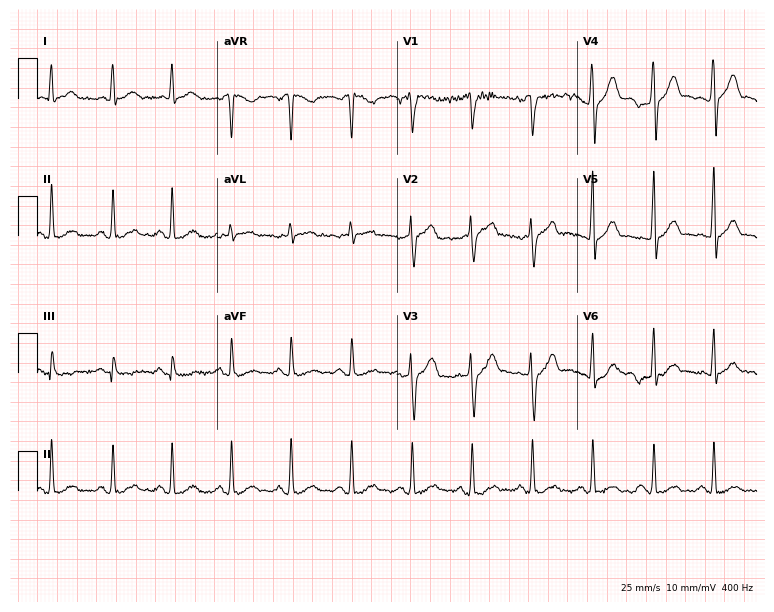
Resting 12-lead electrocardiogram (7.3-second recording at 400 Hz). Patient: a 36-year-old male. Read as a normal ECG.